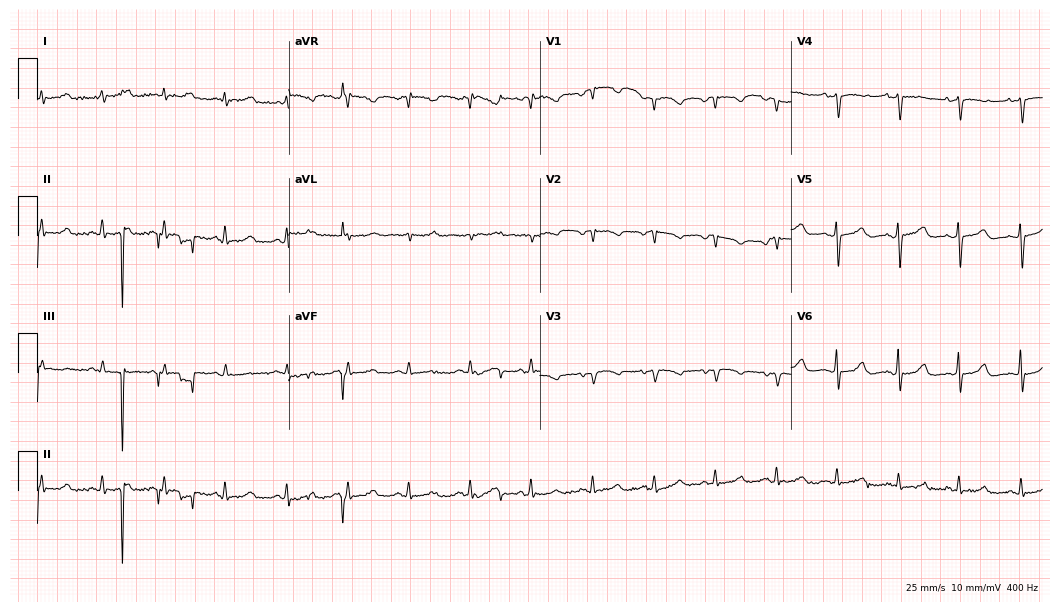
ECG — a female, 57 years old. Screened for six findings — first-degree AV block, right bundle branch block (RBBB), left bundle branch block (LBBB), sinus bradycardia, atrial fibrillation (AF), sinus tachycardia — none is recorded.